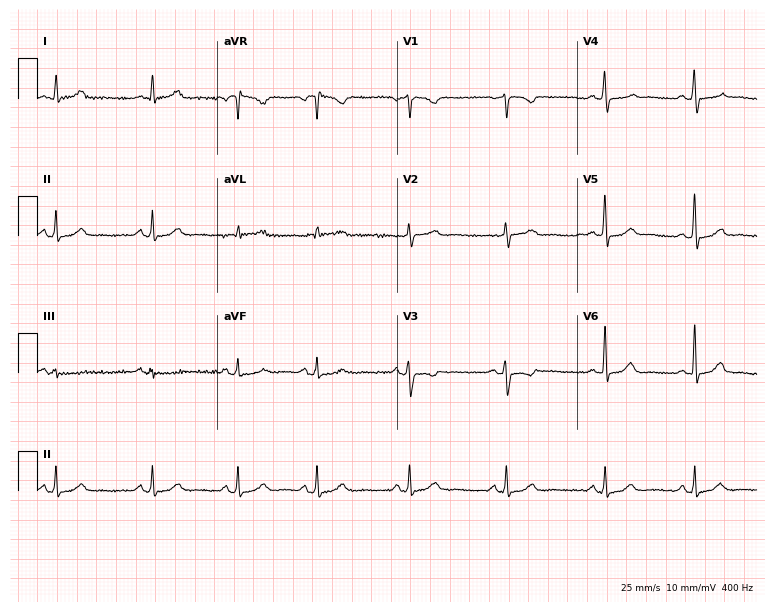
12-lead ECG (7.3-second recording at 400 Hz) from a woman, 38 years old. Screened for six findings — first-degree AV block, right bundle branch block (RBBB), left bundle branch block (LBBB), sinus bradycardia, atrial fibrillation (AF), sinus tachycardia — none is recorded. Other findings, if any, are not listed.